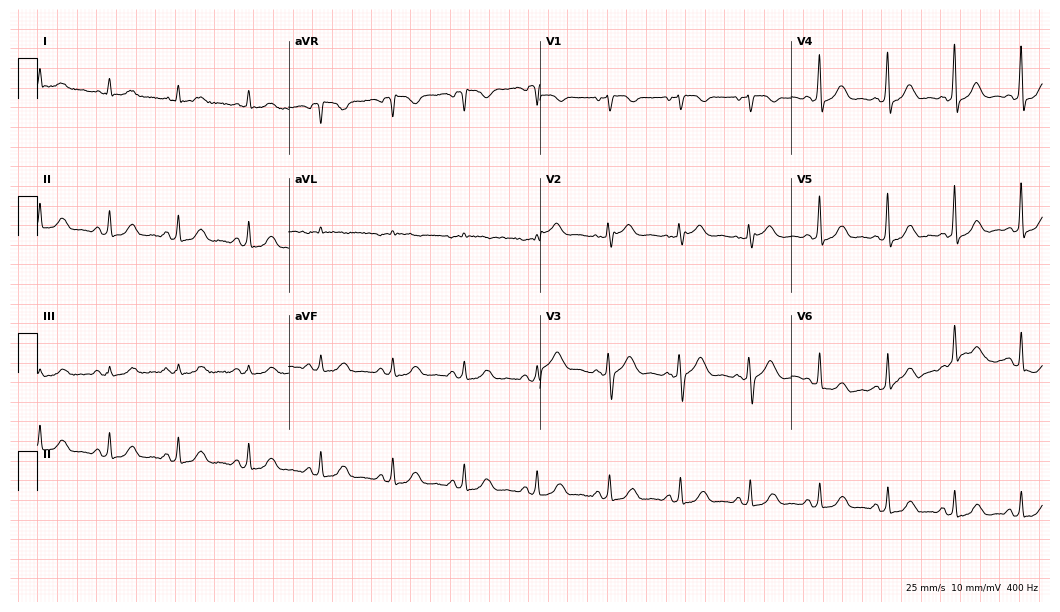
ECG (10.2-second recording at 400 Hz) — a 59-year-old woman. Labelled as a normal ECG.